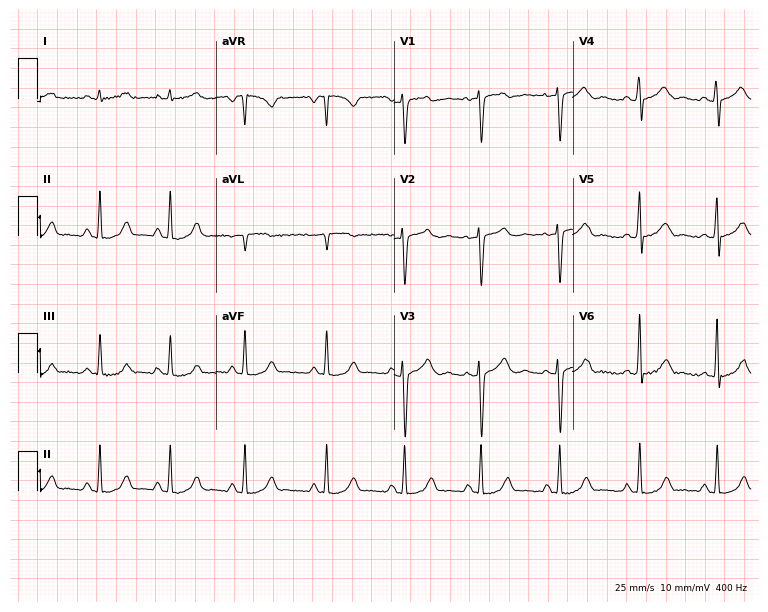
12-lead ECG (7.3-second recording at 400 Hz) from a female, 27 years old. Labelled as a normal ECG.